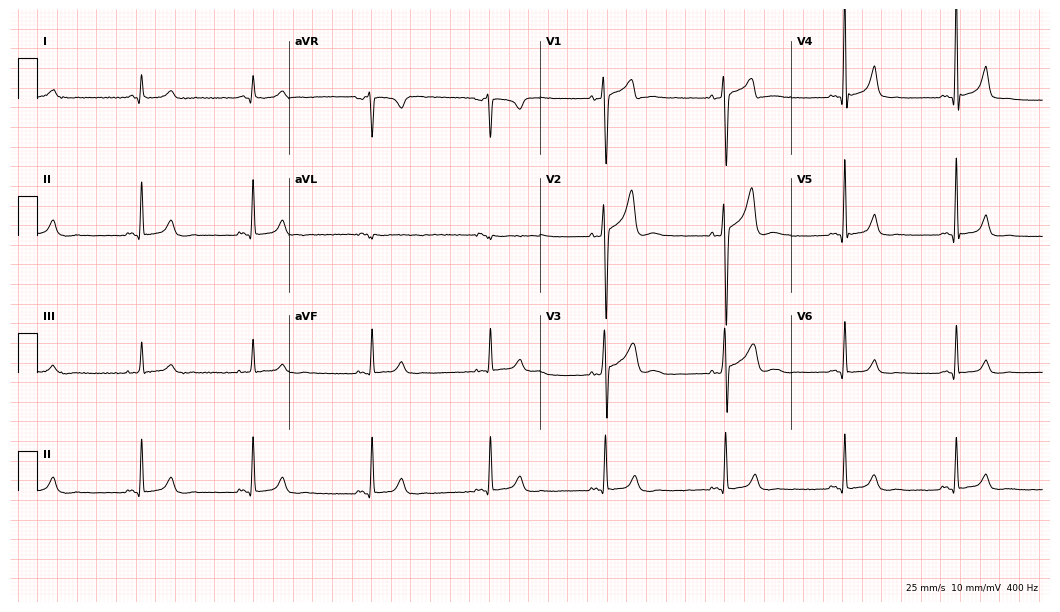
12-lead ECG from a 38-year-old man (10.2-second recording at 400 Hz). No first-degree AV block, right bundle branch block (RBBB), left bundle branch block (LBBB), sinus bradycardia, atrial fibrillation (AF) or sinus tachycardia recorded for this tracing.